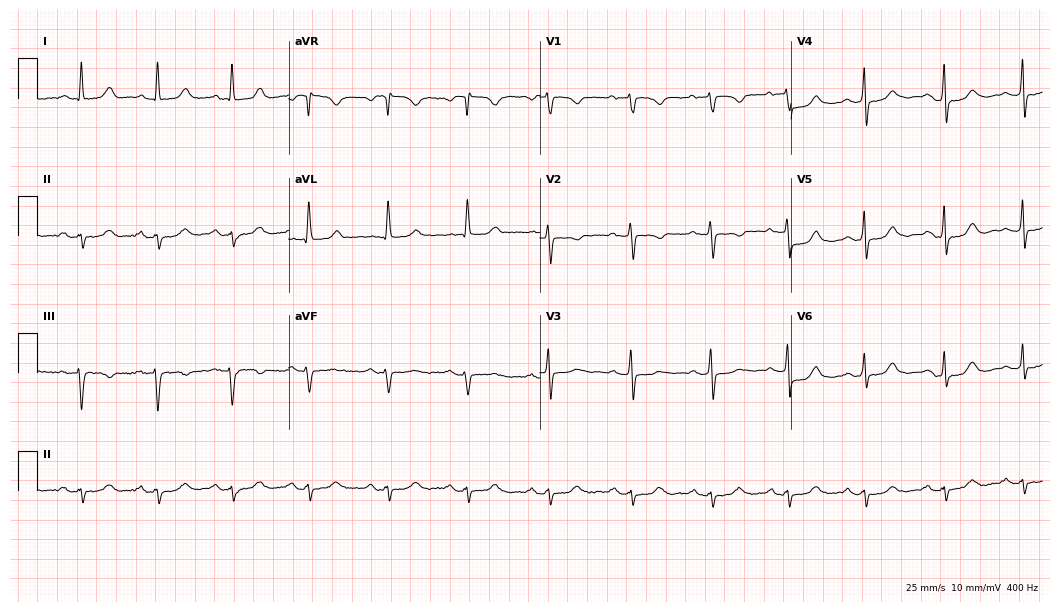
Electrocardiogram (10.2-second recording at 400 Hz), a 69-year-old woman. Of the six screened findings (first-degree AV block, right bundle branch block (RBBB), left bundle branch block (LBBB), sinus bradycardia, atrial fibrillation (AF), sinus tachycardia), none is recorded. Findings outside these six are not listed.